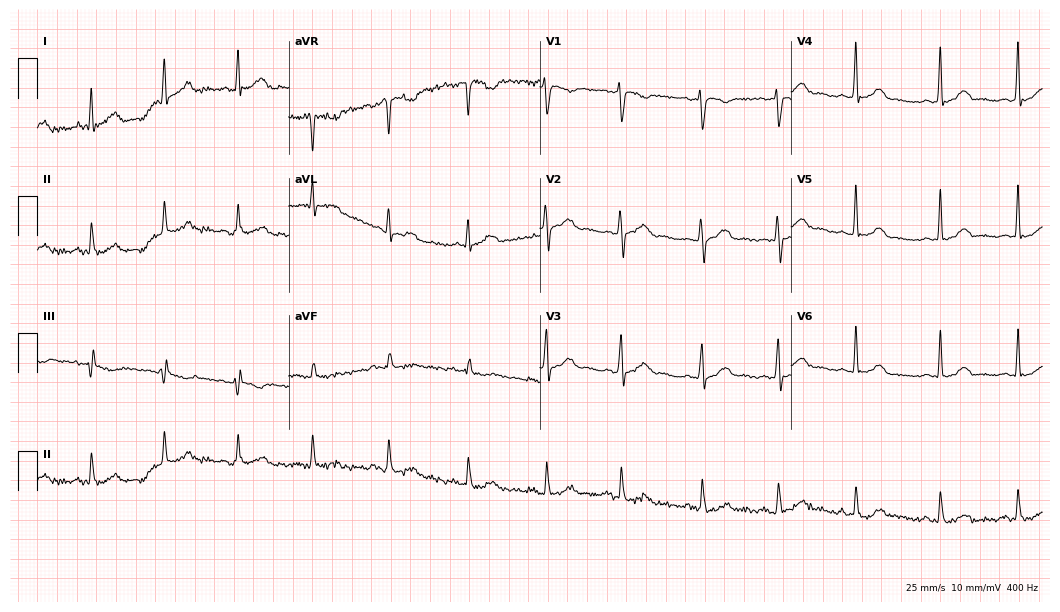
ECG (10.2-second recording at 400 Hz) — a 36-year-old woman. Labelled as a normal ECG.